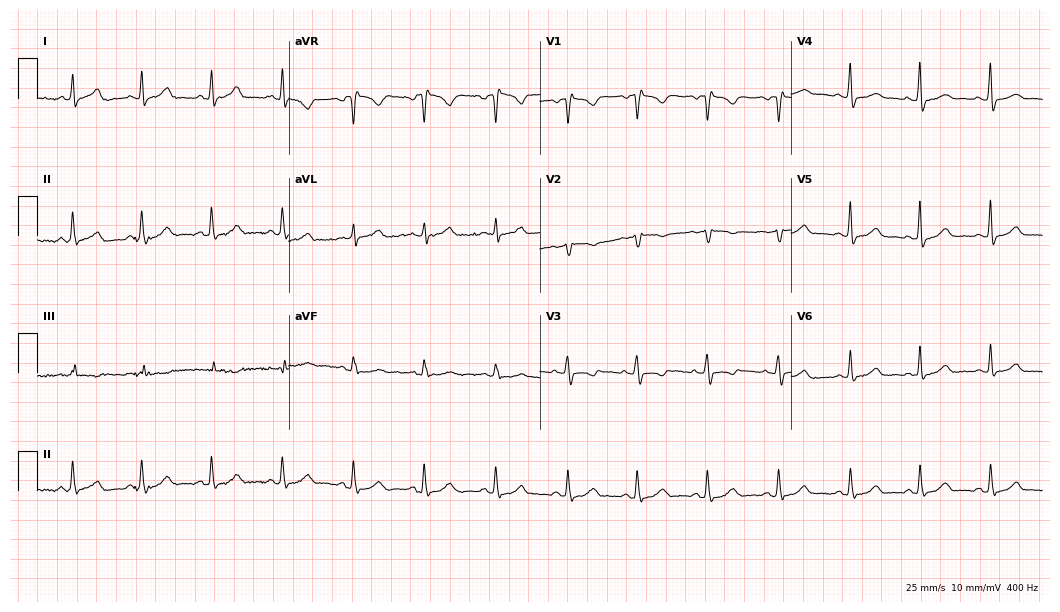
Resting 12-lead electrocardiogram (10.2-second recording at 400 Hz). Patient: a female, 39 years old. None of these six findings is recorded: first-degree AV block, right bundle branch block, left bundle branch block, sinus bradycardia, atrial fibrillation, sinus tachycardia. Only these six findings were labelled.